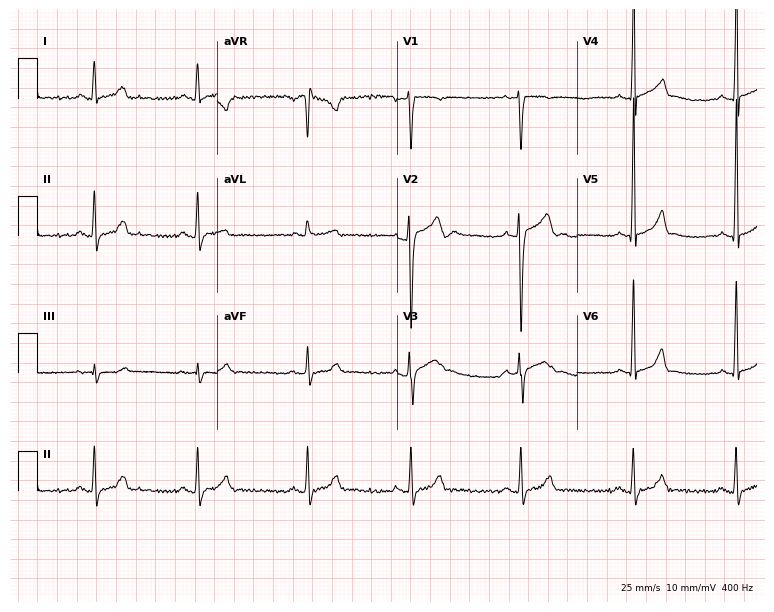
12-lead ECG from a 20-year-old male patient. Labelled as a normal ECG.